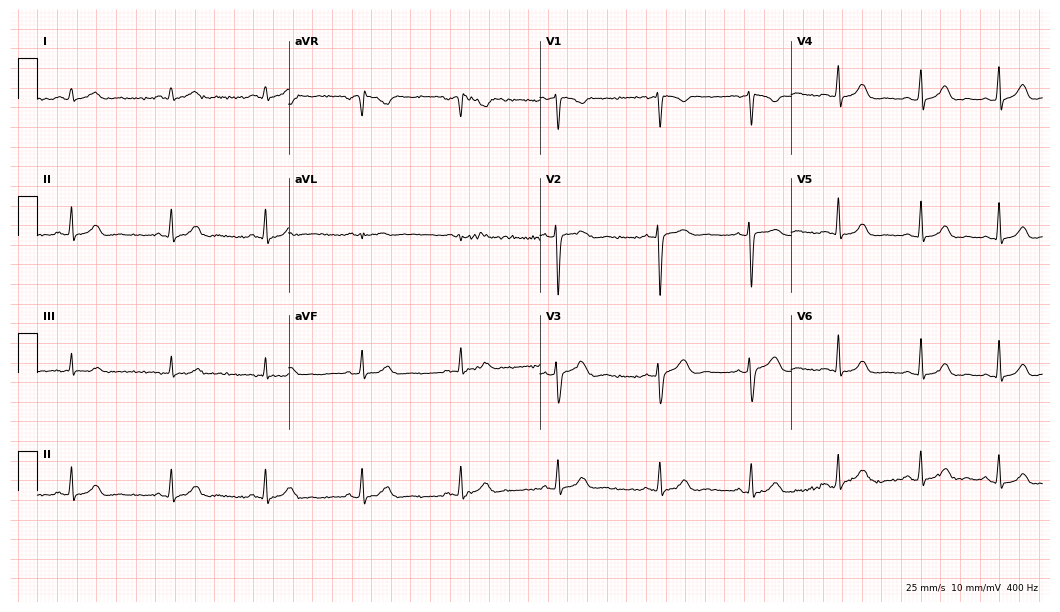
Standard 12-lead ECG recorded from a 23-year-old female. Read as a normal ECG.